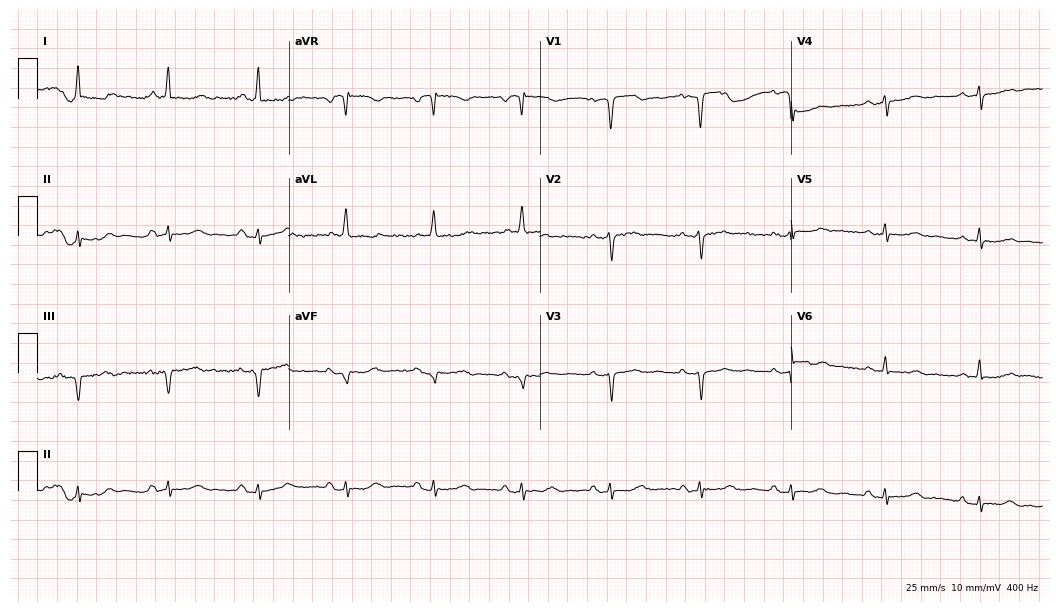
ECG — a woman, 64 years old. Screened for six findings — first-degree AV block, right bundle branch block, left bundle branch block, sinus bradycardia, atrial fibrillation, sinus tachycardia — none is recorded. Only these six findings were labelled.